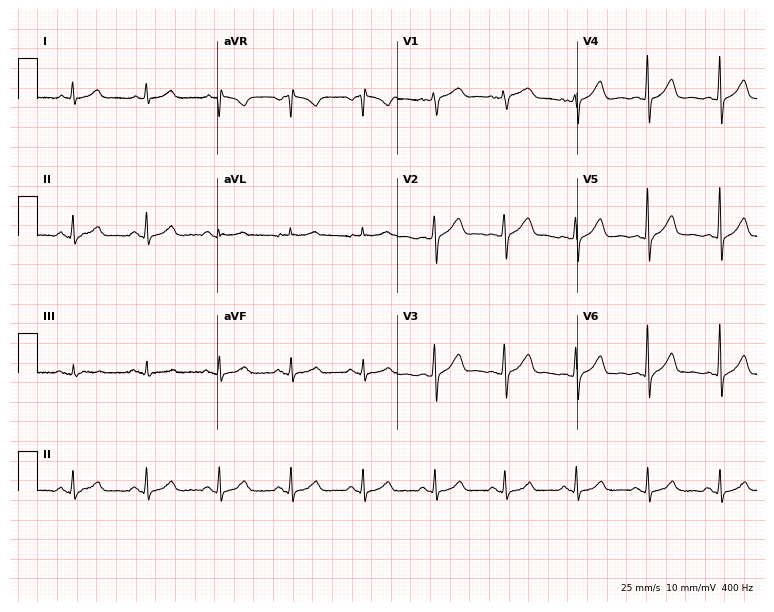
Electrocardiogram (7.3-second recording at 400 Hz), a 55-year-old male patient. Overall reading on record: normal ECG.